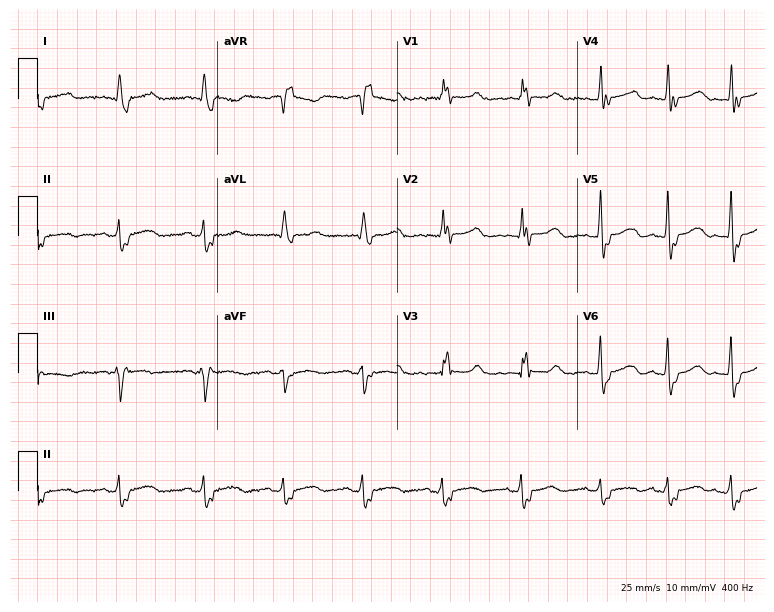
Resting 12-lead electrocardiogram. Patient: a 71-year-old female. The tracing shows right bundle branch block.